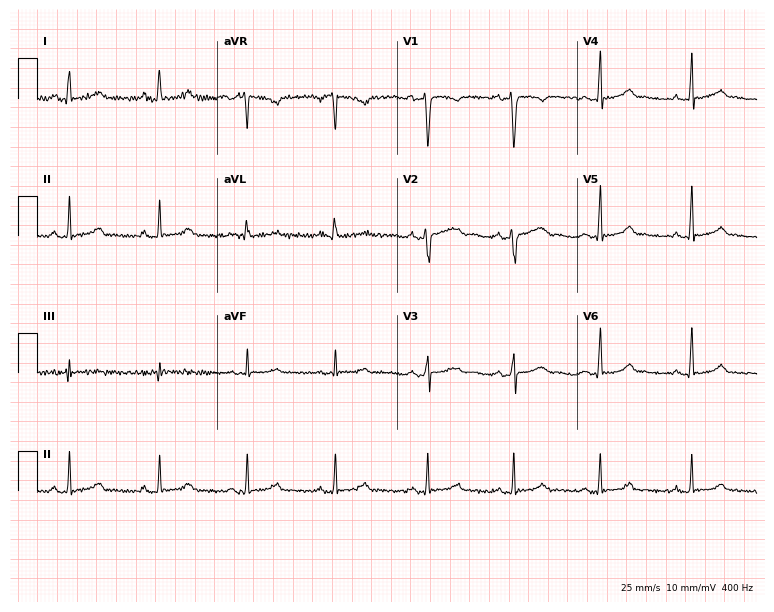
Resting 12-lead electrocardiogram (7.3-second recording at 400 Hz). Patient: a 25-year-old female. None of these six findings is recorded: first-degree AV block, right bundle branch block, left bundle branch block, sinus bradycardia, atrial fibrillation, sinus tachycardia.